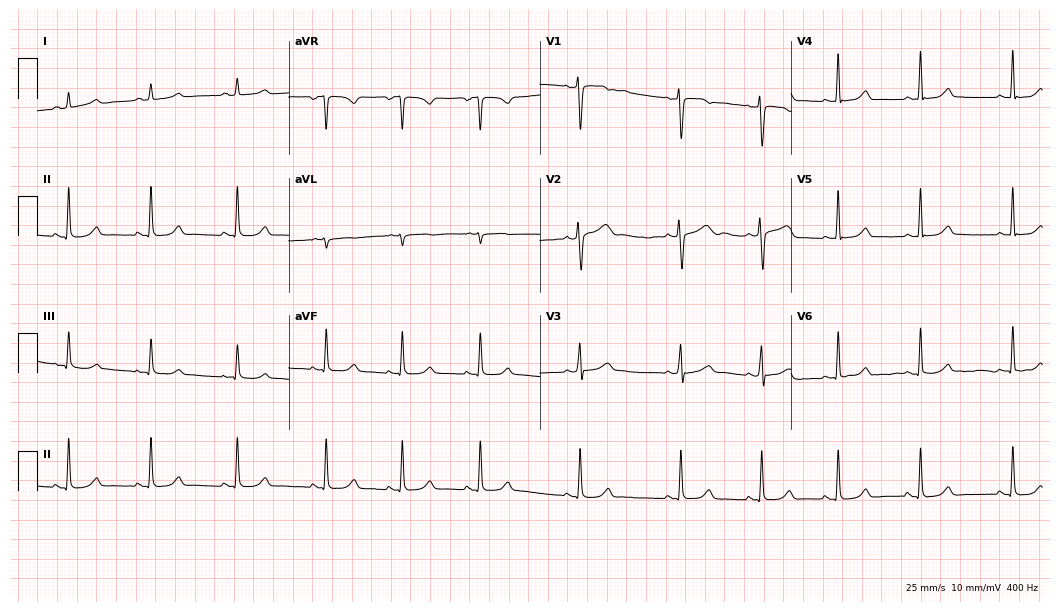
Standard 12-lead ECG recorded from a woman, 30 years old. Read as a normal ECG.